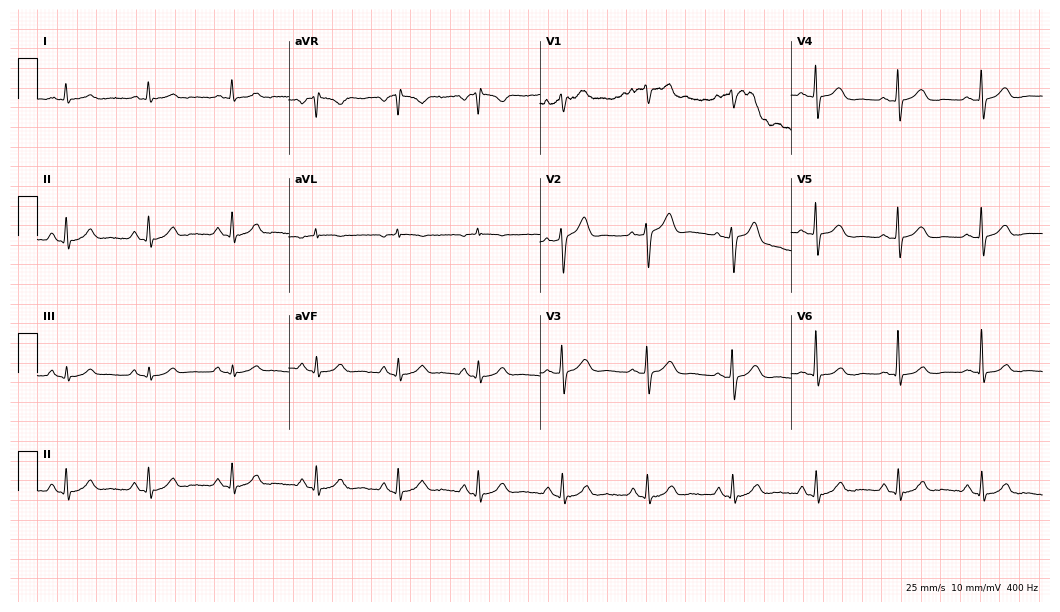
Electrocardiogram, a male, 69 years old. Overall reading on record: normal ECG.